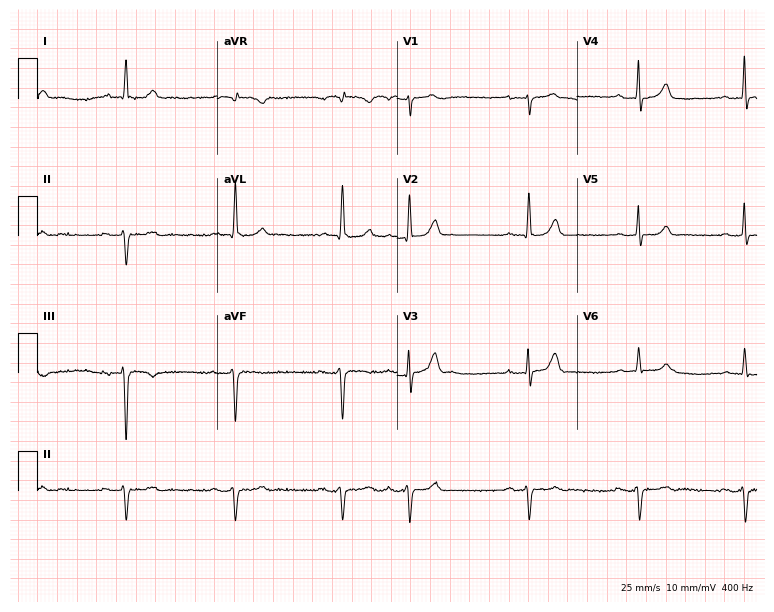
12-lead ECG from a male patient, 64 years old. Findings include first-degree AV block.